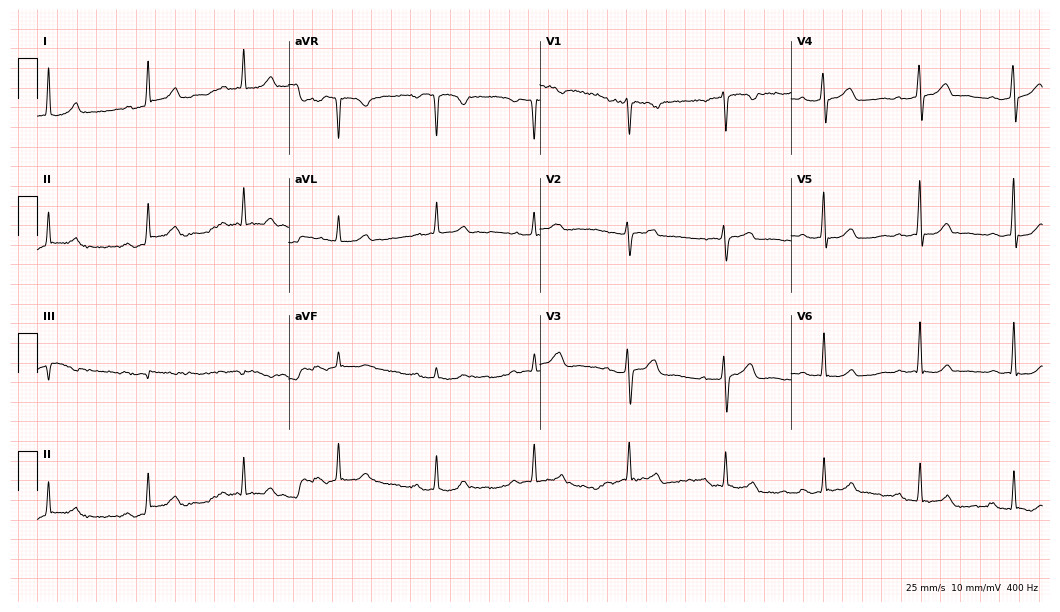
Resting 12-lead electrocardiogram. Patient: a woman, 55 years old. The tracing shows first-degree AV block.